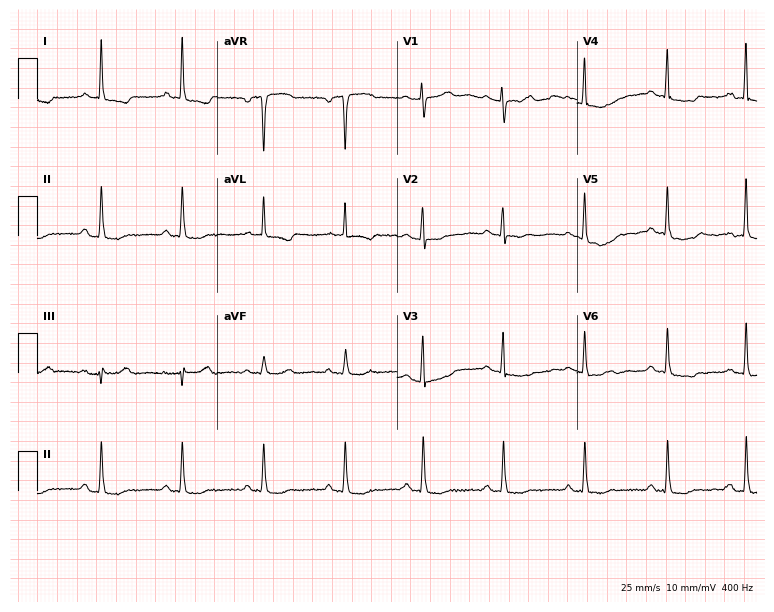
12-lead ECG from a female, 82 years old (7.3-second recording at 400 Hz). No first-degree AV block, right bundle branch block, left bundle branch block, sinus bradycardia, atrial fibrillation or sinus tachycardia recorded for this tracing. Other findings, if any, are not listed.